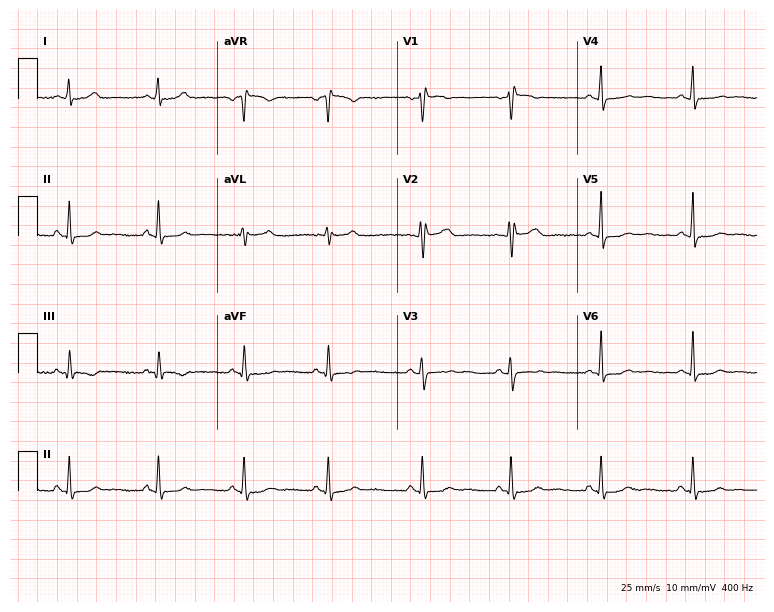
ECG — a female patient, 43 years old. Screened for six findings — first-degree AV block, right bundle branch block, left bundle branch block, sinus bradycardia, atrial fibrillation, sinus tachycardia — none is recorded. Only these six findings were labelled.